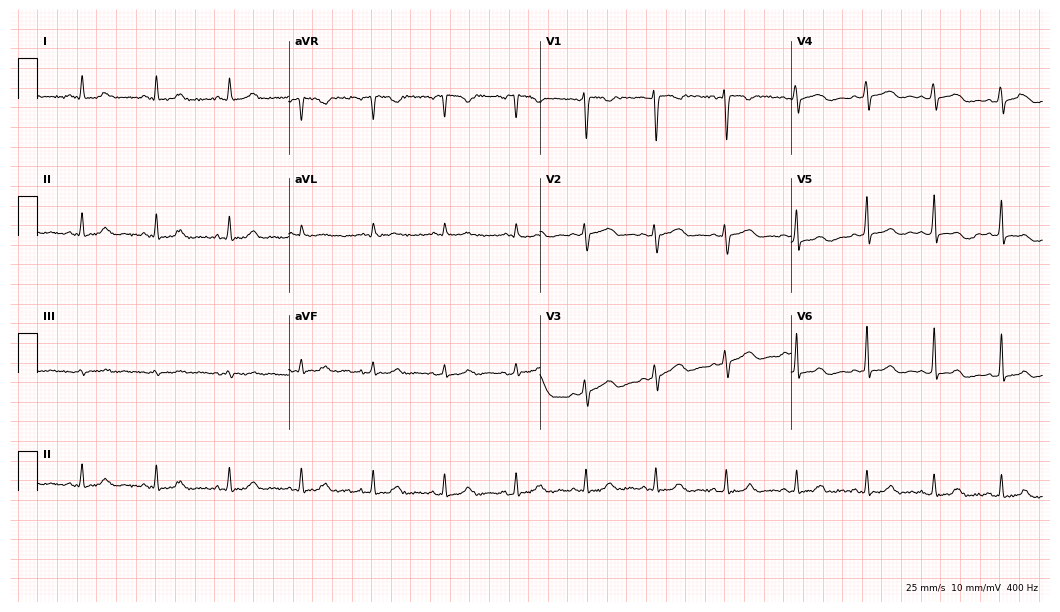
Resting 12-lead electrocardiogram (10.2-second recording at 400 Hz). Patient: a 49-year-old female. None of these six findings is recorded: first-degree AV block, right bundle branch block, left bundle branch block, sinus bradycardia, atrial fibrillation, sinus tachycardia.